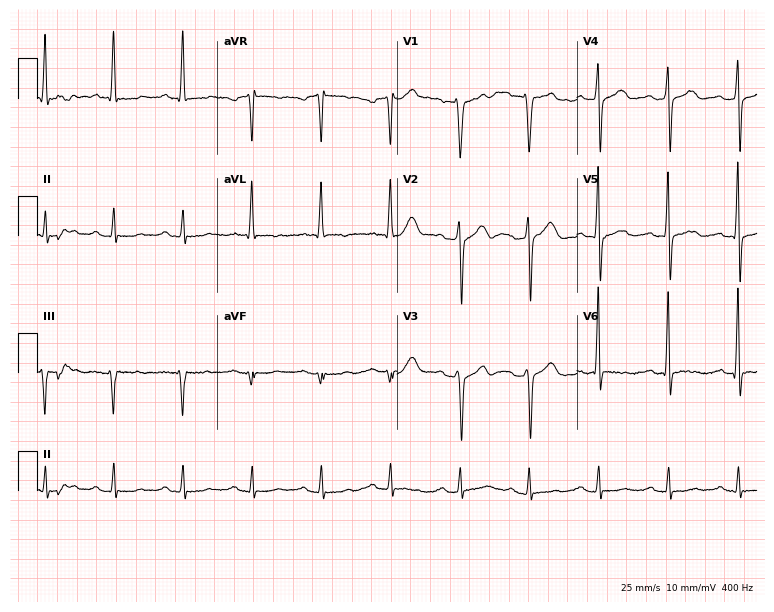
Electrocardiogram, a man, 70 years old. Of the six screened findings (first-degree AV block, right bundle branch block, left bundle branch block, sinus bradycardia, atrial fibrillation, sinus tachycardia), none is recorded.